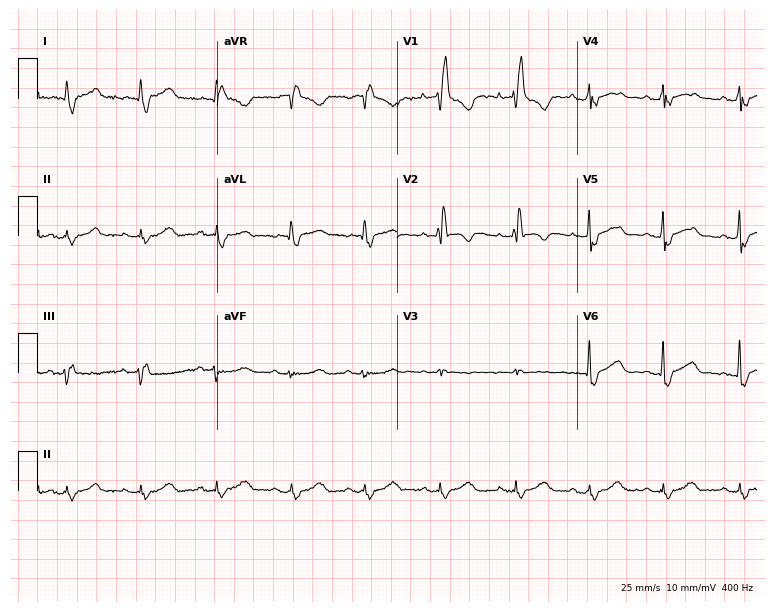
Resting 12-lead electrocardiogram (7.3-second recording at 400 Hz). Patient: a man, 57 years old. The tracing shows right bundle branch block.